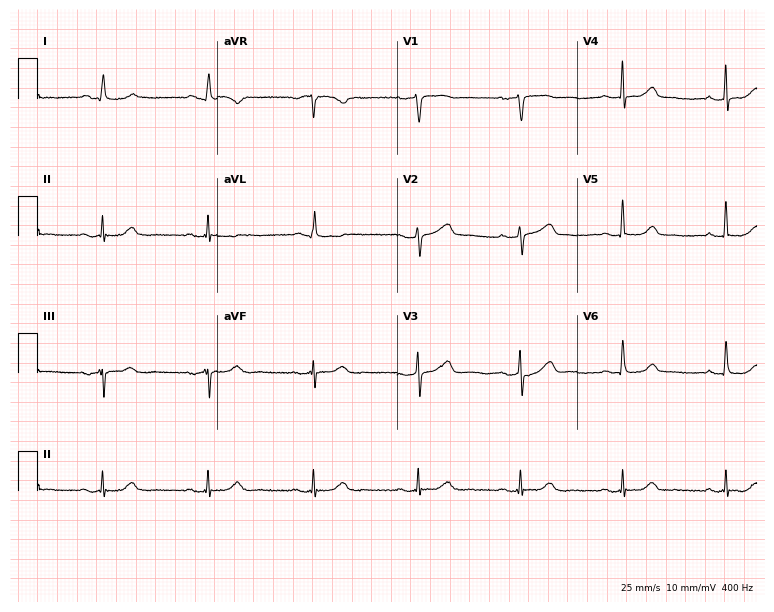
Electrocardiogram (7.3-second recording at 400 Hz), a 56-year-old female. Overall reading on record: normal ECG.